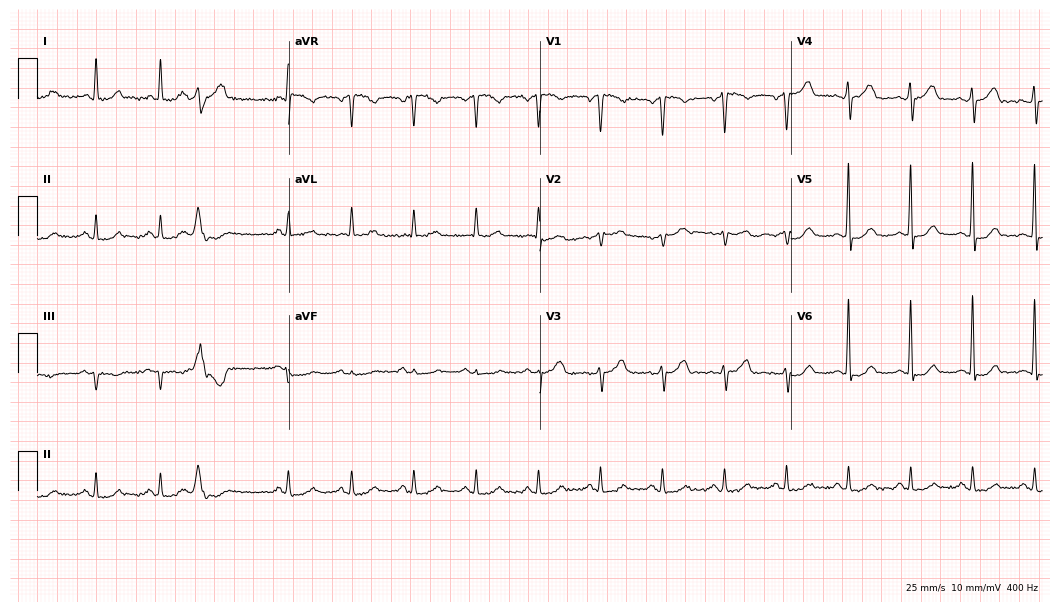
ECG — a woman, 75 years old. Screened for six findings — first-degree AV block, right bundle branch block (RBBB), left bundle branch block (LBBB), sinus bradycardia, atrial fibrillation (AF), sinus tachycardia — none is recorded. Only these six findings were labelled.